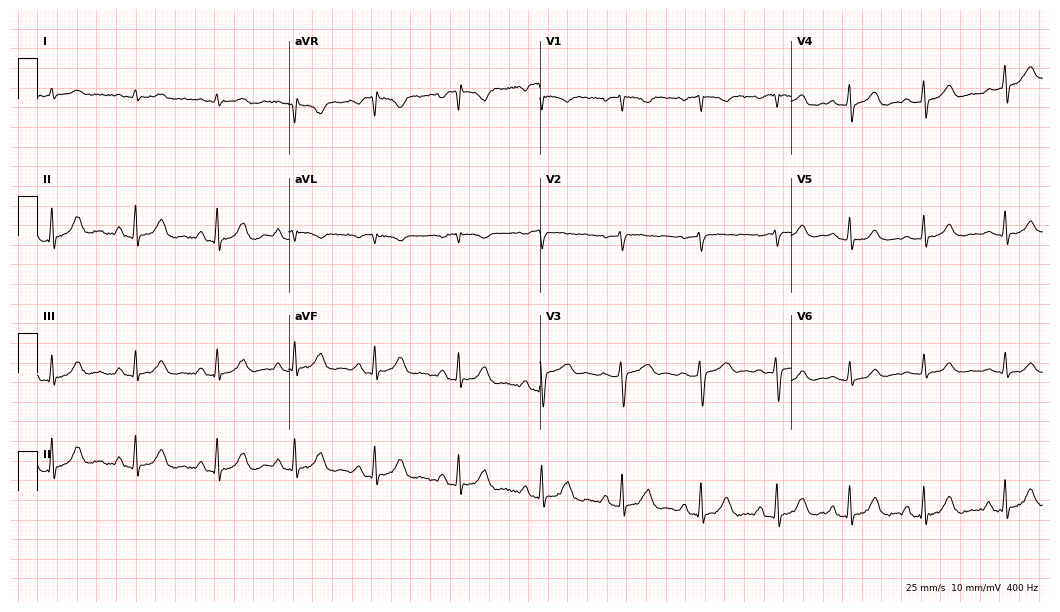
Standard 12-lead ECG recorded from a 52-year-old female patient (10.2-second recording at 400 Hz). Read as a normal ECG.